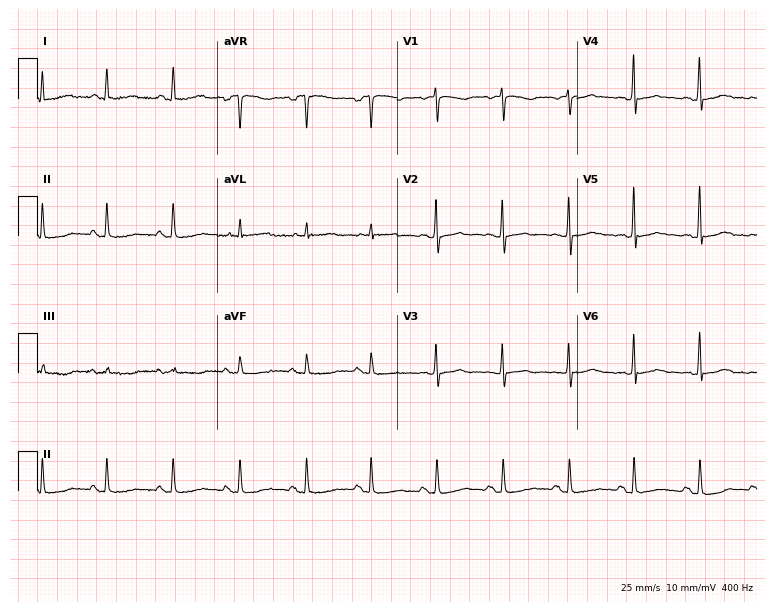
ECG (7.3-second recording at 400 Hz) — a female patient, 67 years old. Screened for six findings — first-degree AV block, right bundle branch block, left bundle branch block, sinus bradycardia, atrial fibrillation, sinus tachycardia — none is recorded.